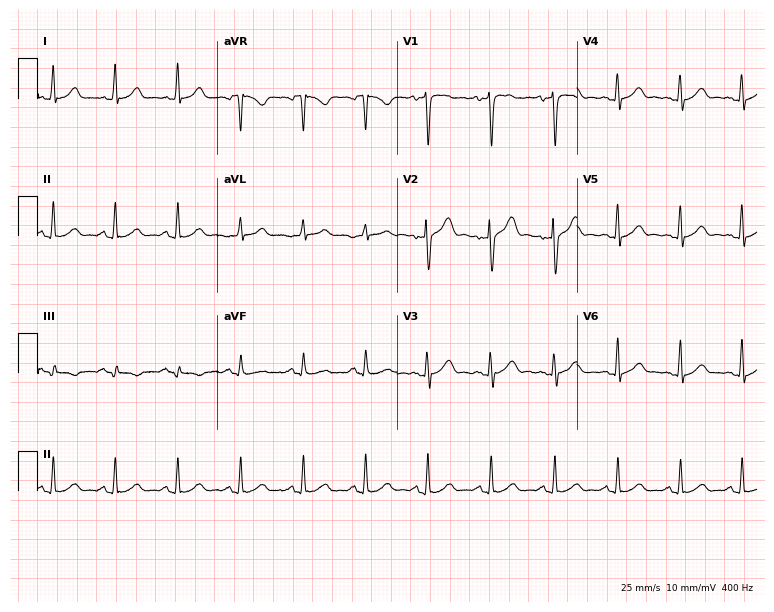
Electrocardiogram (7.3-second recording at 400 Hz), a 39-year-old male patient. Overall reading on record: normal ECG.